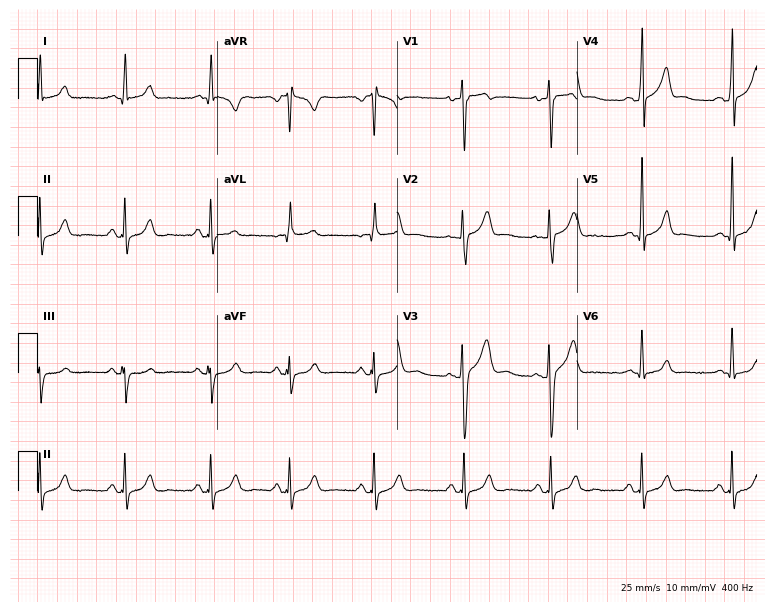
Resting 12-lead electrocardiogram (7.3-second recording at 400 Hz). Patient: a male, 23 years old. Read as a normal ECG.